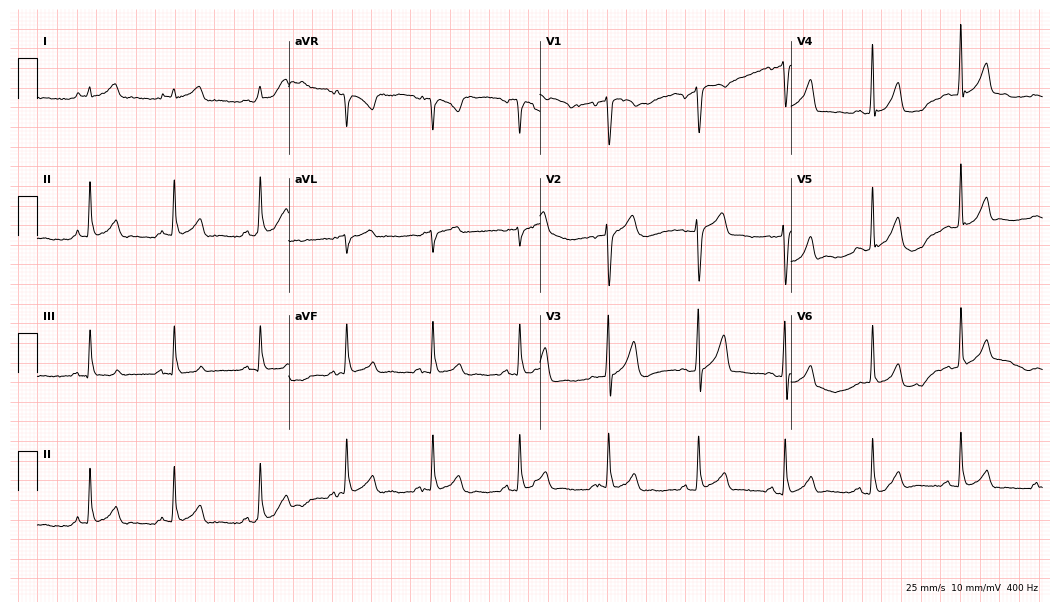
12-lead ECG from a 32-year-old male patient. No first-degree AV block, right bundle branch block, left bundle branch block, sinus bradycardia, atrial fibrillation or sinus tachycardia recorded for this tracing. Findings outside these six are not listed.